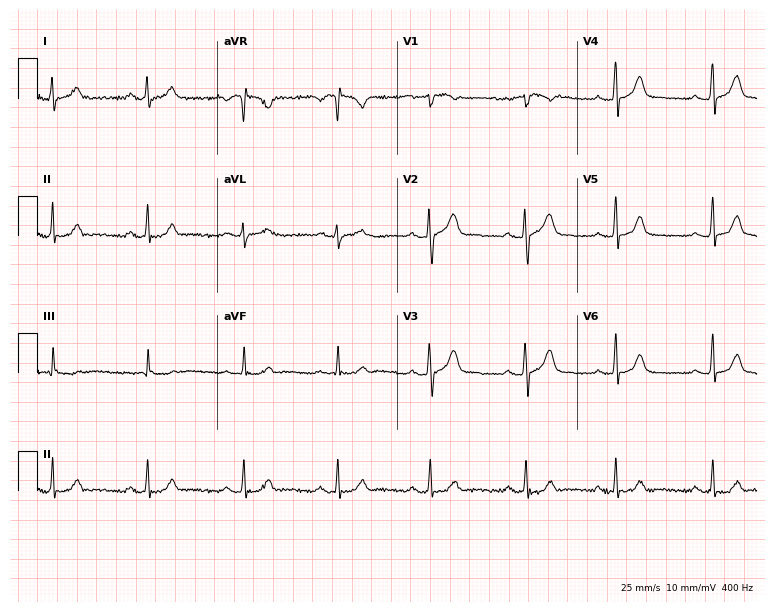
Standard 12-lead ECG recorded from a female, 26 years old (7.3-second recording at 400 Hz). Read as a normal ECG.